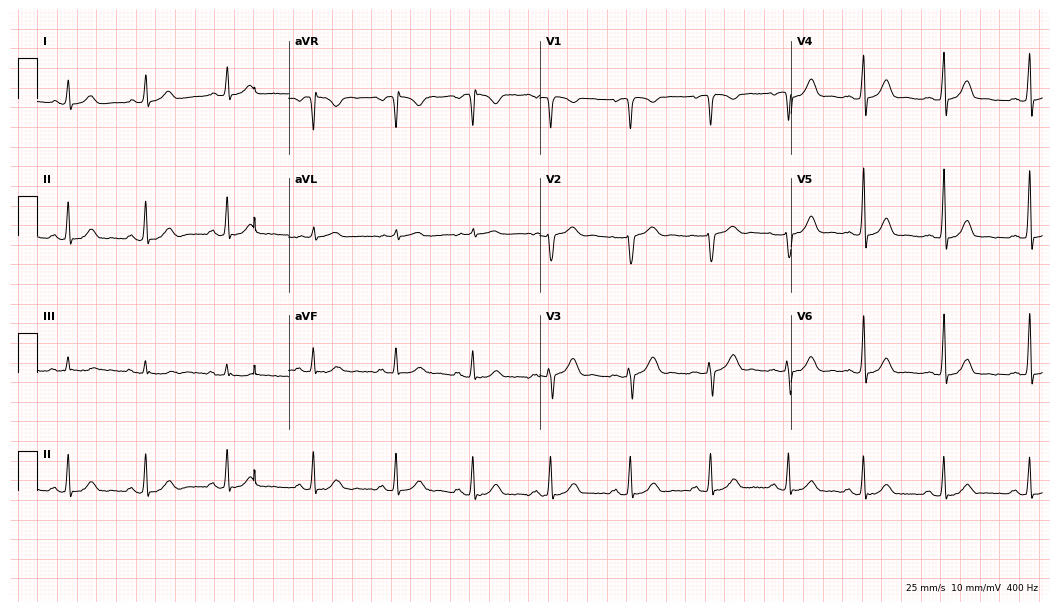
ECG — a 30-year-old female. Labelled as a normal ECG.